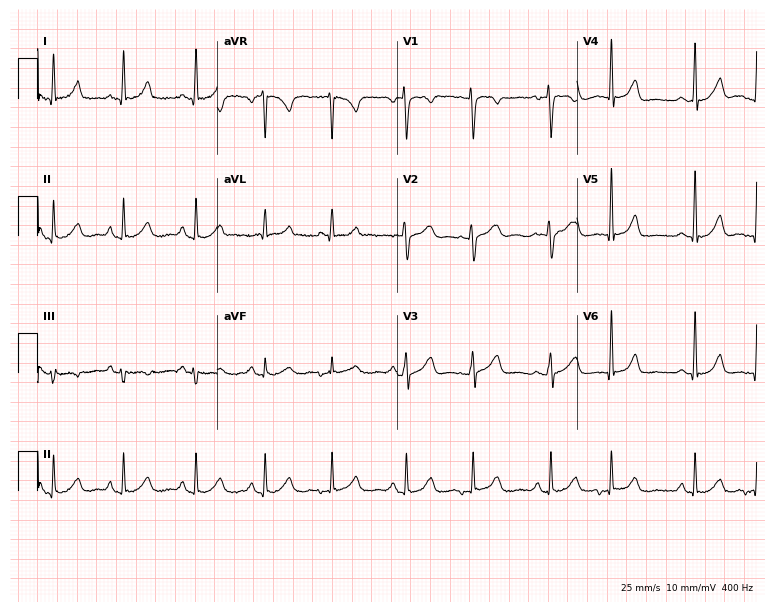
Electrocardiogram, a 51-year-old woman. Overall reading on record: normal ECG.